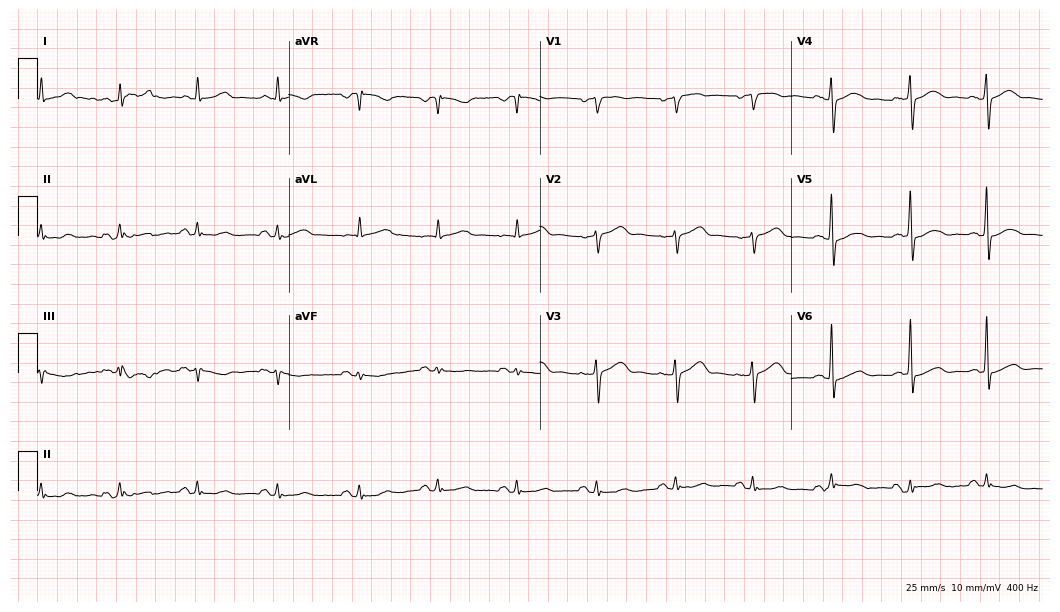
Standard 12-lead ECG recorded from a female, 64 years old (10.2-second recording at 400 Hz). None of these six findings is recorded: first-degree AV block, right bundle branch block (RBBB), left bundle branch block (LBBB), sinus bradycardia, atrial fibrillation (AF), sinus tachycardia. Other findings, if any, are not listed.